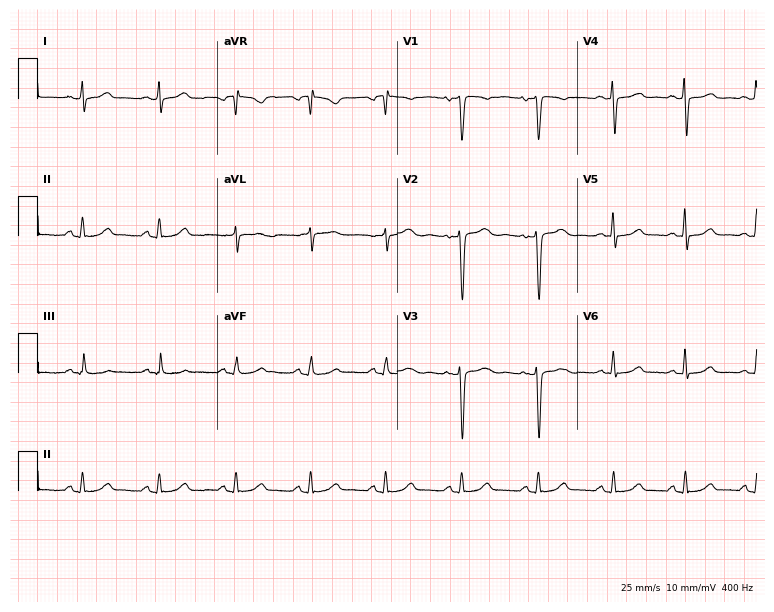
12-lead ECG from a 42-year-old woman. Screened for six findings — first-degree AV block, right bundle branch block, left bundle branch block, sinus bradycardia, atrial fibrillation, sinus tachycardia — none is recorded.